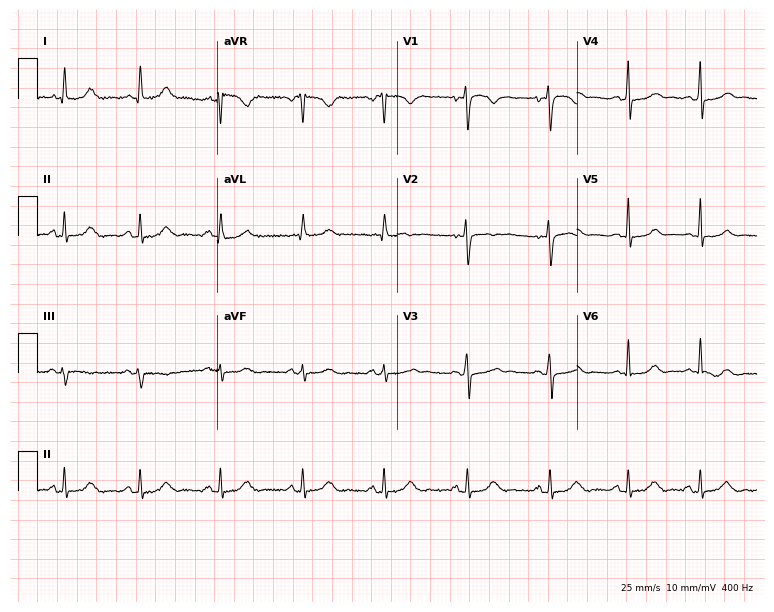
12-lead ECG from a 38-year-old woman. Recorded interpretation: within normal limits.